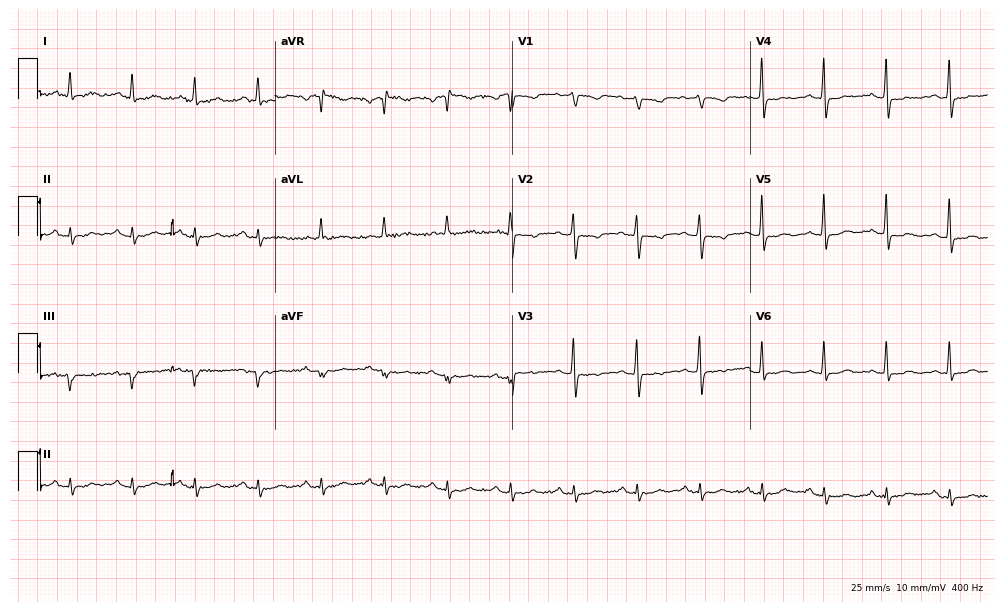
Resting 12-lead electrocardiogram. Patient: a 60-year-old female. None of these six findings is recorded: first-degree AV block, right bundle branch block (RBBB), left bundle branch block (LBBB), sinus bradycardia, atrial fibrillation (AF), sinus tachycardia.